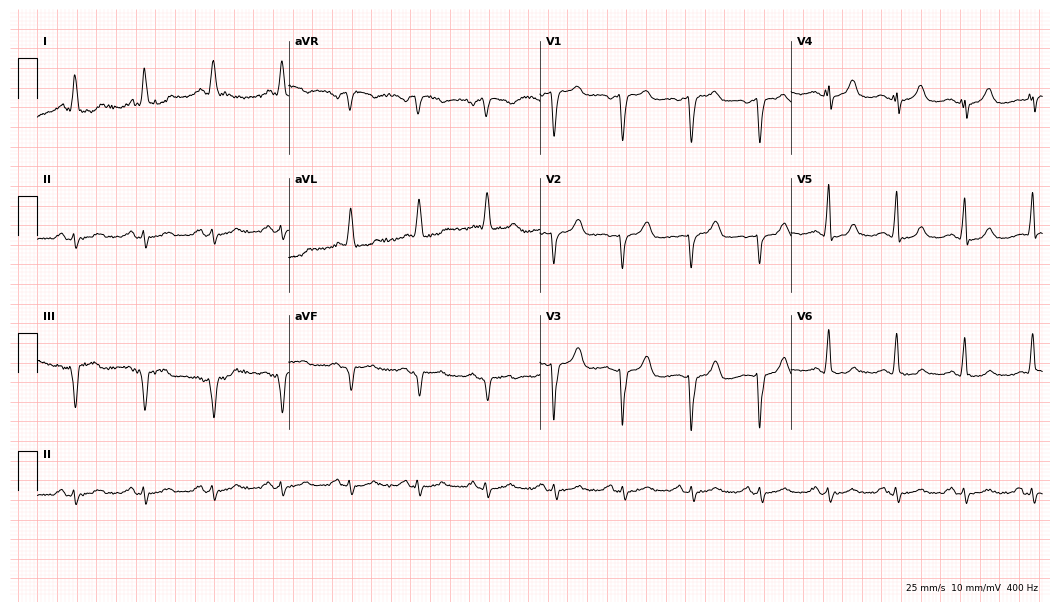
12-lead ECG from a 63-year-old female. No first-degree AV block, right bundle branch block (RBBB), left bundle branch block (LBBB), sinus bradycardia, atrial fibrillation (AF) or sinus tachycardia recorded for this tracing.